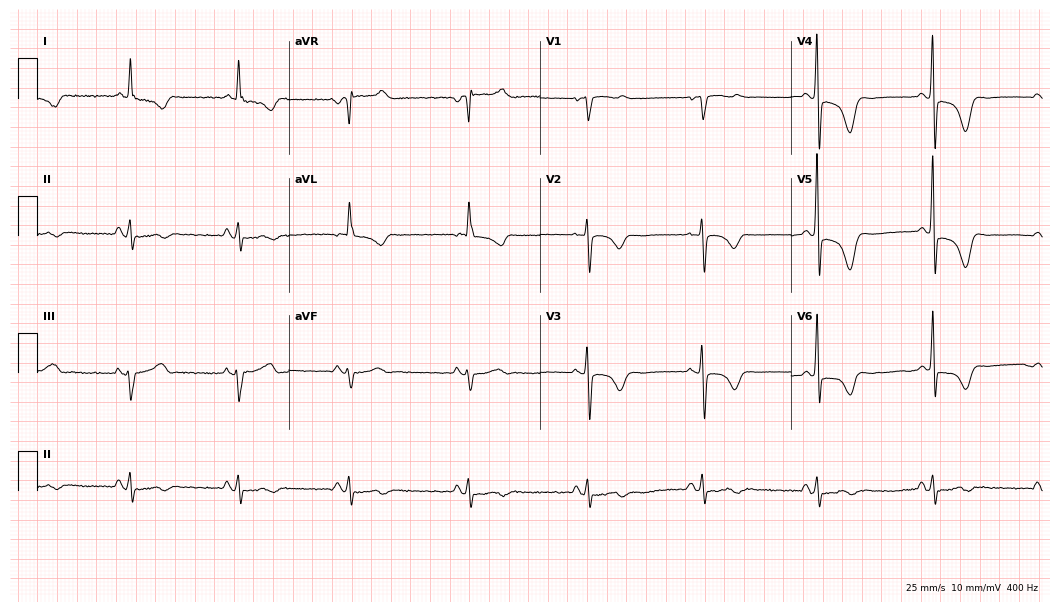
12-lead ECG (10.2-second recording at 400 Hz) from a female patient, 76 years old. Screened for six findings — first-degree AV block, right bundle branch block, left bundle branch block, sinus bradycardia, atrial fibrillation, sinus tachycardia — none is recorded.